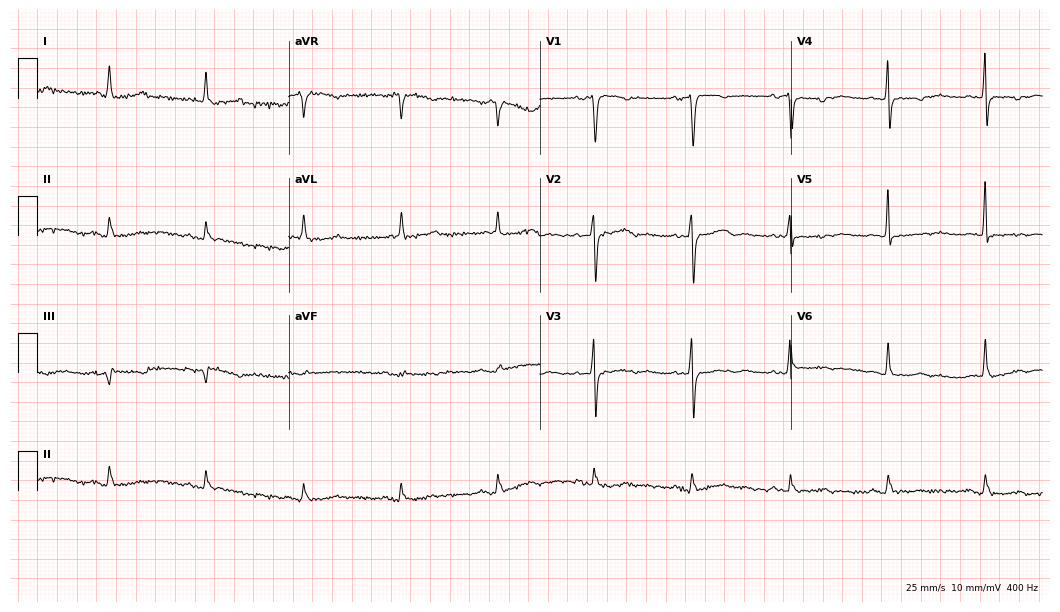
Standard 12-lead ECG recorded from a woman, 82 years old (10.2-second recording at 400 Hz). None of these six findings is recorded: first-degree AV block, right bundle branch block (RBBB), left bundle branch block (LBBB), sinus bradycardia, atrial fibrillation (AF), sinus tachycardia.